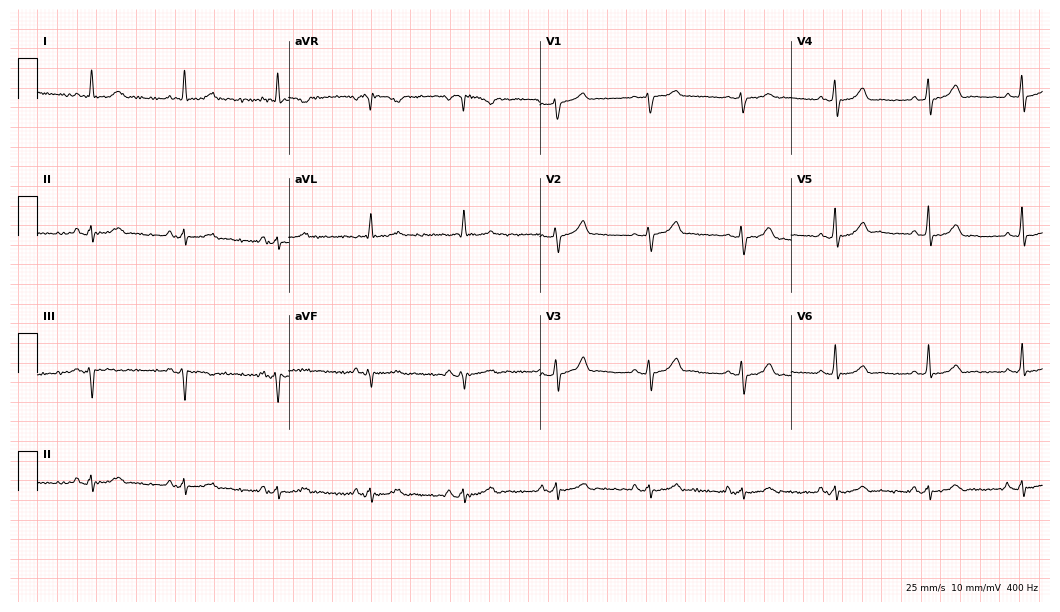
Resting 12-lead electrocardiogram. Patient: an 82-year-old male. Read as a normal ECG.